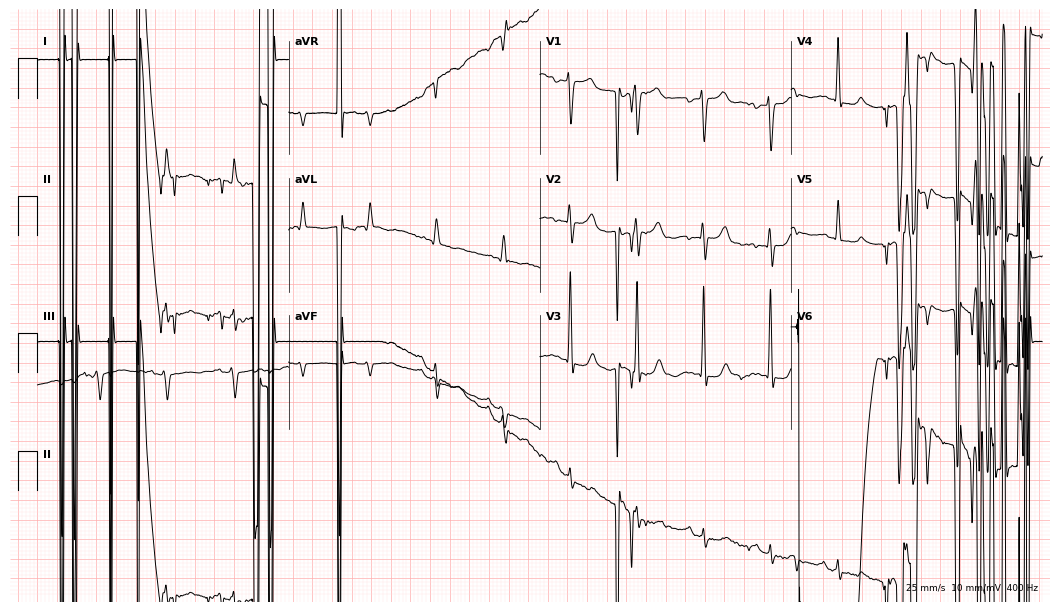
Standard 12-lead ECG recorded from a male, 85 years old. None of these six findings is recorded: first-degree AV block, right bundle branch block, left bundle branch block, sinus bradycardia, atrial fibrillation, sinus tachycardia.